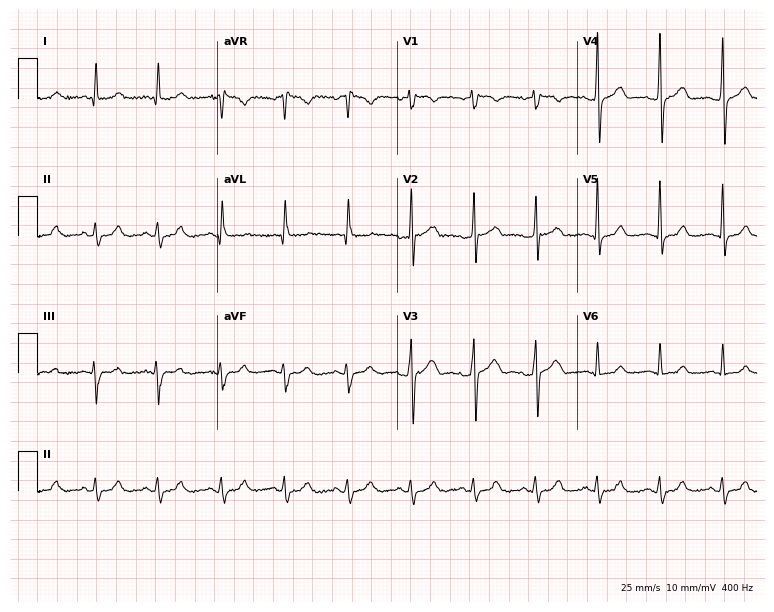
12-lead ECG (7.3-second recording at 400 Hz) from a man, 64 years old. Labelled as a normal ECG.